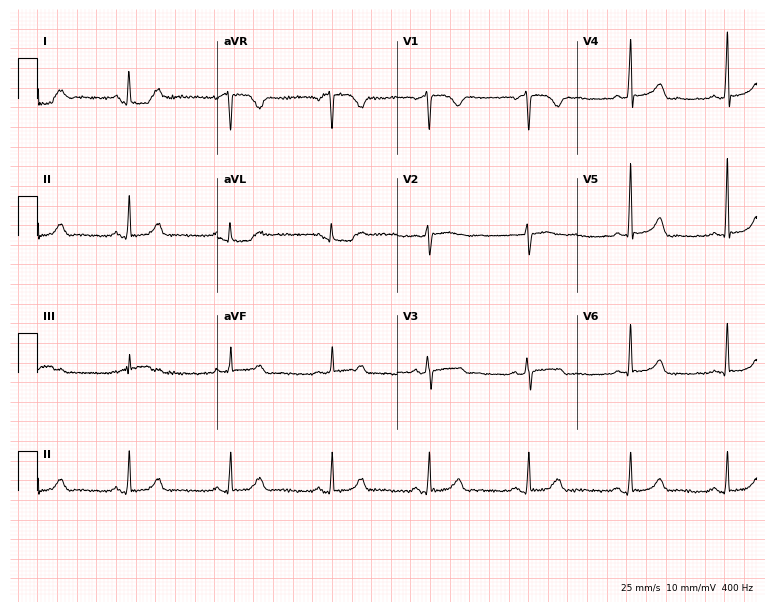
Resting 12-lead electrocardiogram. Patient: a female, 35 years old. Read as a normal ECG.